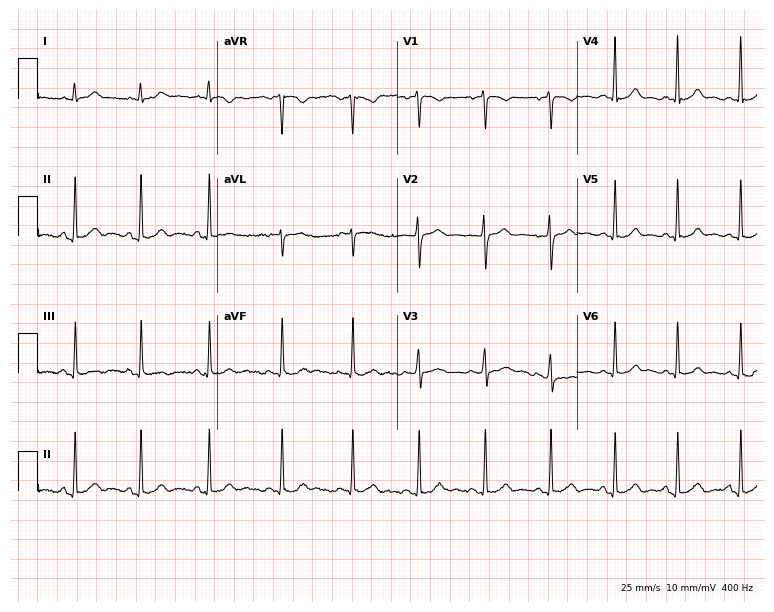
ECG — a female patient, 18 years old. Labelled as a normal ECG.